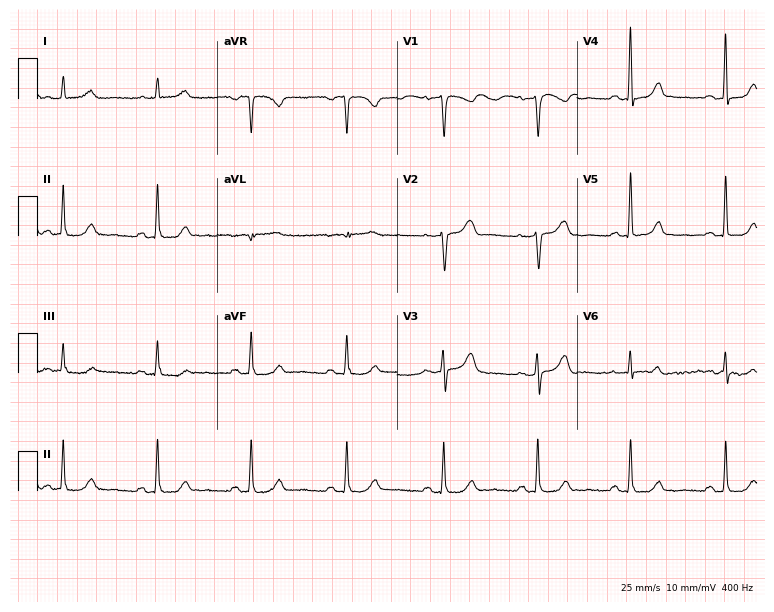
12-lead ECG from a 52-year-old female. No first-degree AV block, right bundle branch block, left bundle branch block, sinus bradycardia, atrial fibrillation or sinus tachycardia recorded for this tracing.